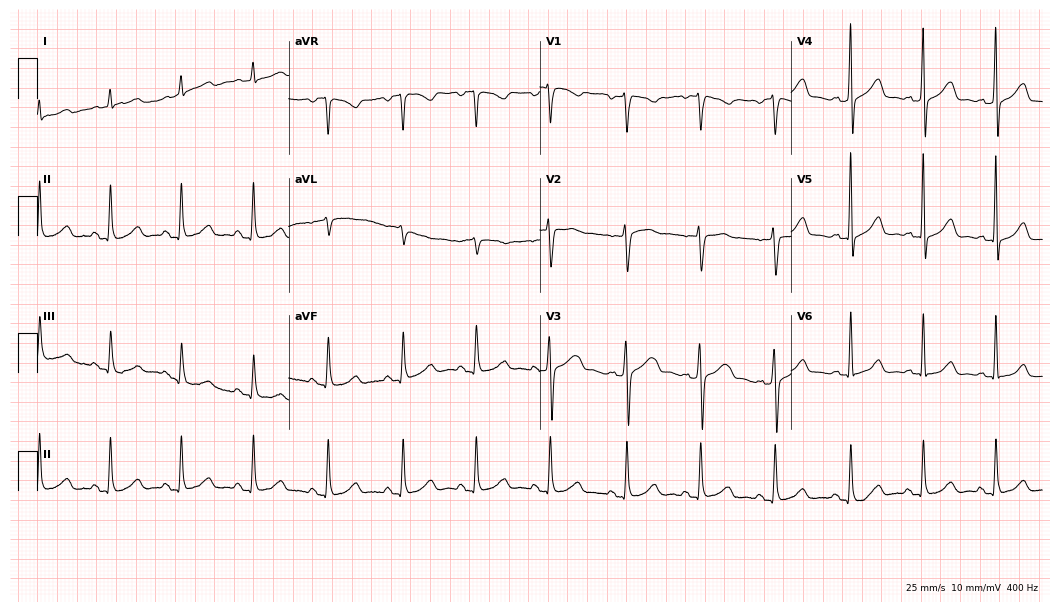
Resting 12-lead electrocardiogram. Patient: an 82-year-old female. Read as a normal ECG.